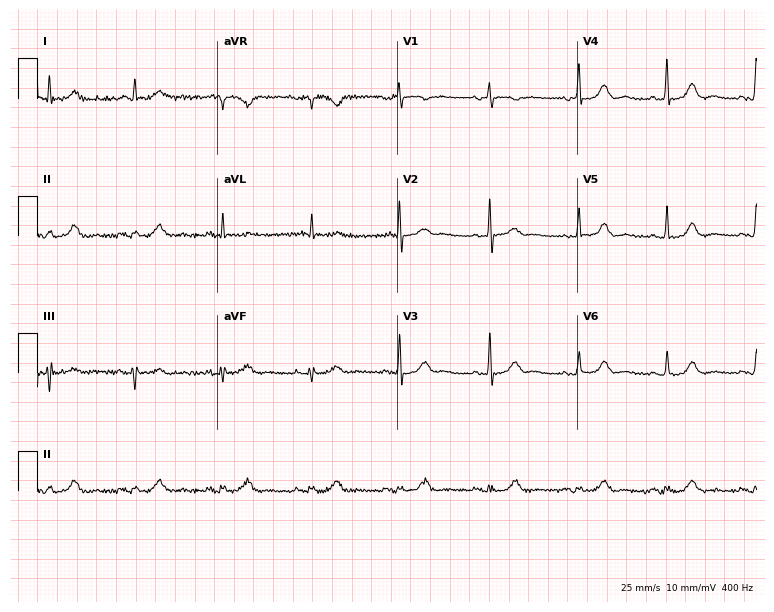
Resting 12-lead electrocardiogram. Patient: a 67-year-old woman. Read as a normal ECG.